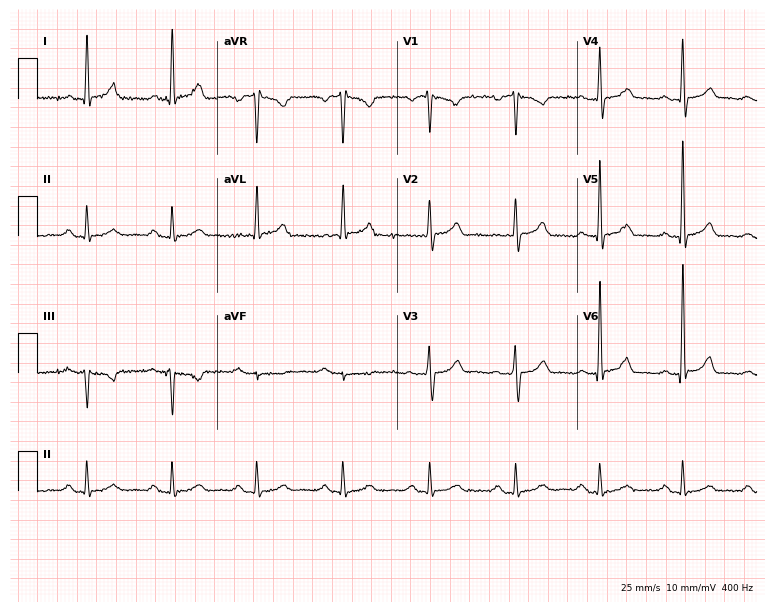
Standard 12-lead ECG recorded from a 72-year-old man (7.3-second recording at 400 Hz). Read as a normal ECG.